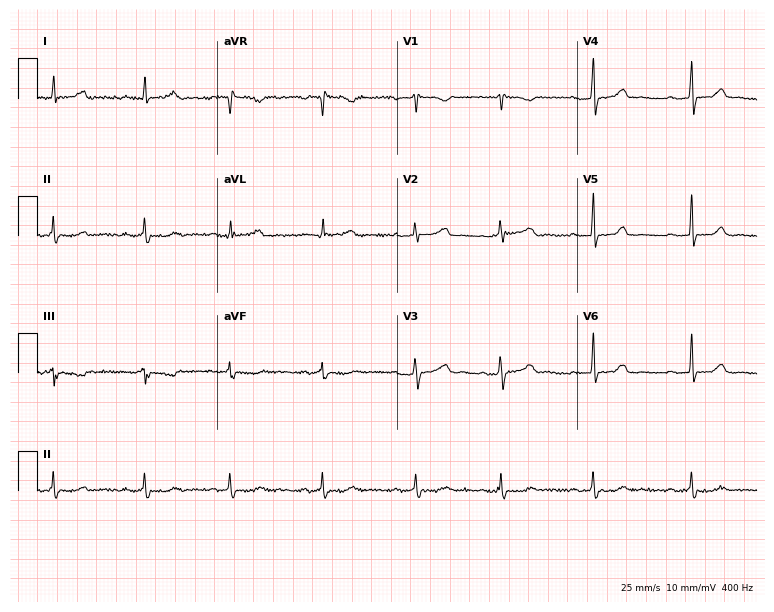
Electrocardiogram, a female, 22 years old. Overall reading on record: normal ECG.